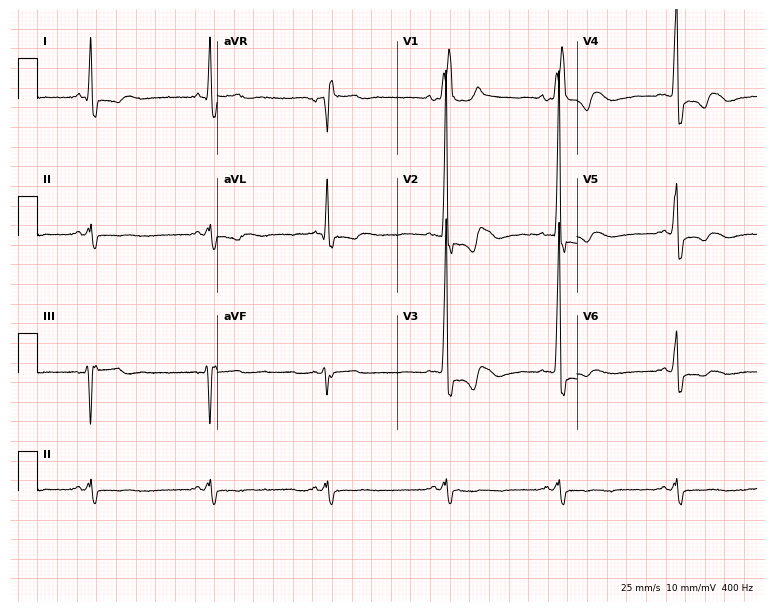
12-lead ECG from a man, 76 years old (7.3-second recording at 400 Hz). Shows right bundle branch block, sinus bradycardia (a sinus rate of 50 beats per minute or less).